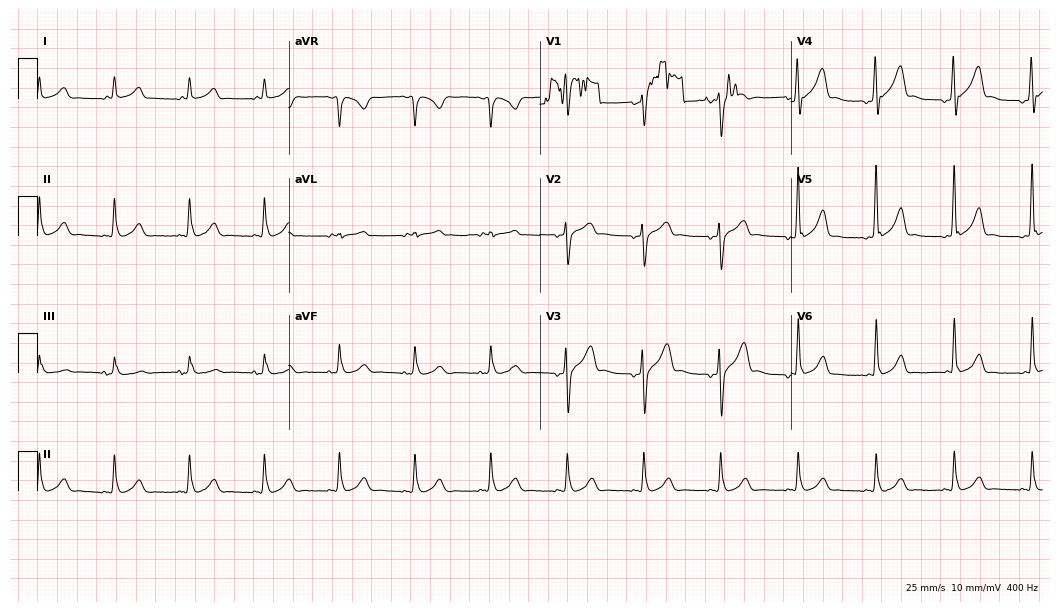
12-lead ECG from a 48-year-old man. No first-degree AV block, right bundle branch block (RBBB), left bundle branch block (LBBB), sinus bradycardia, atrial fibrillation (AF) or sinus tachycardia recorded for this tracing. Findings outside these six are not listed.